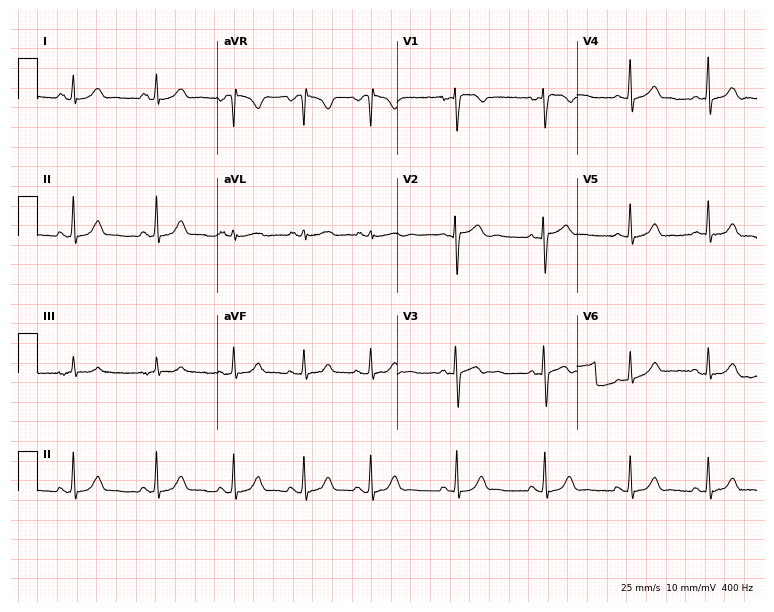
12-lead ECG (7.3-second recording at 400 Hz) from a female patient, 21 years old. Labelled as a normal ECG.